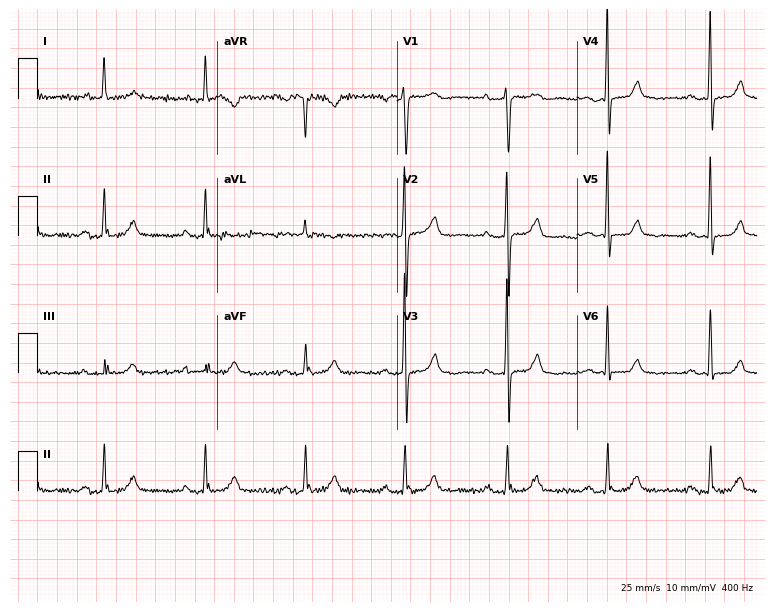
ECG (7.3-second recording at 400 Hz) — a 59-year-old woman. Findings include first-degree AV block.